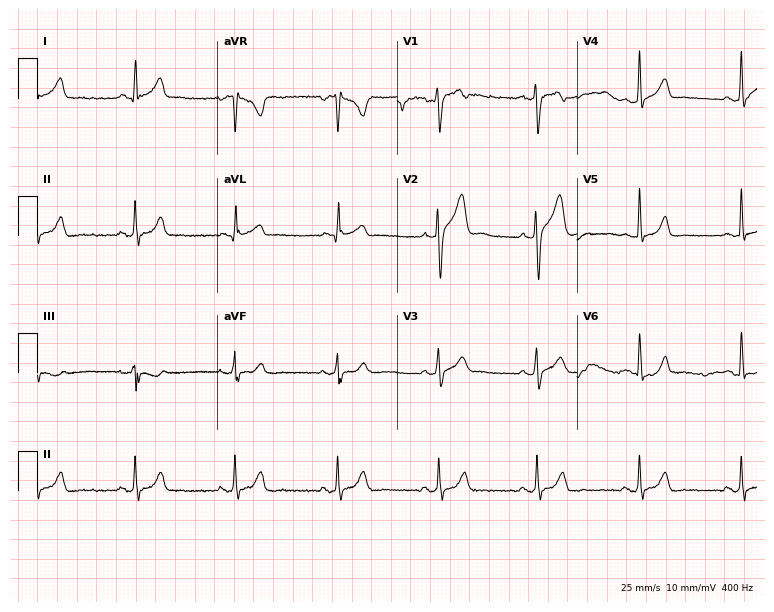
ECG (7.3-second recording at 400 Hz) — a male, 24 years old. Screened for six findings — first-degree AV block, right bundle branch block, left bundle branch block, sinus bradycardia, atrial fibrillation, sinus tachycardia — none is recorded. Only these six findings were labelled.